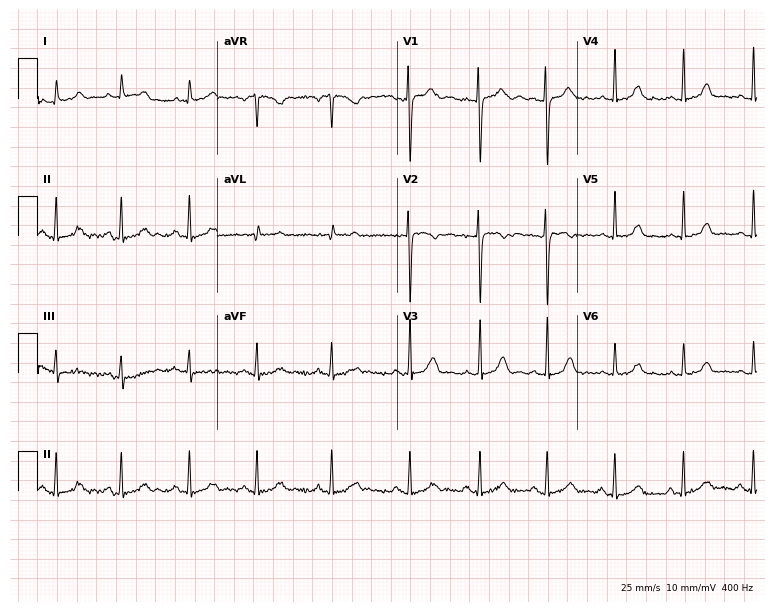
Standard 12-lead ECG recorded from a 27-year-old woman (7.3-second recording at 400 Hz). Read as a normal ECG.